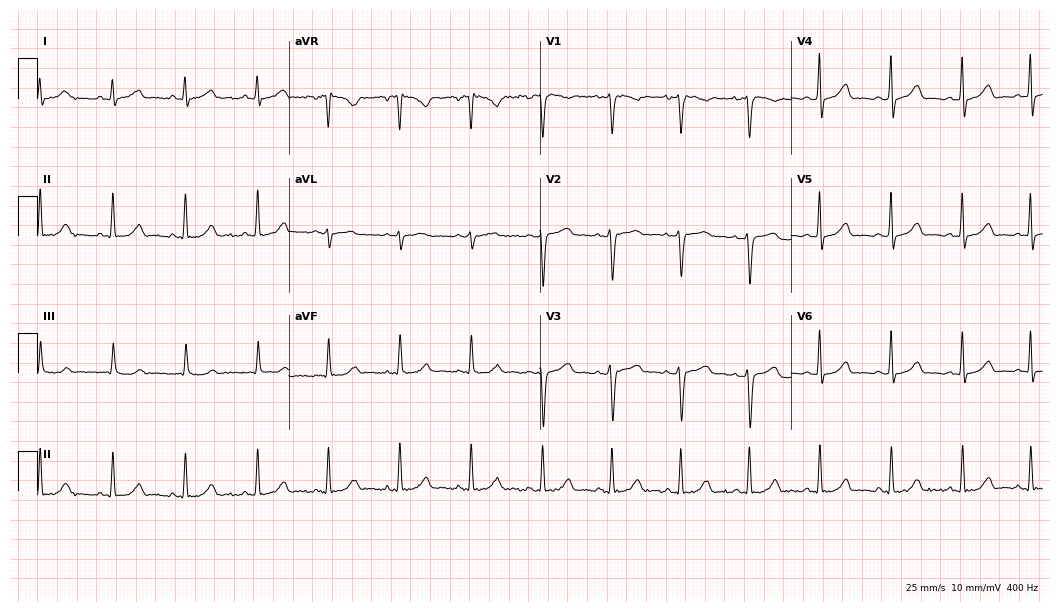
12-lead ECG from a female patient, 50 years old. Recorded interpretation: within normal limits.